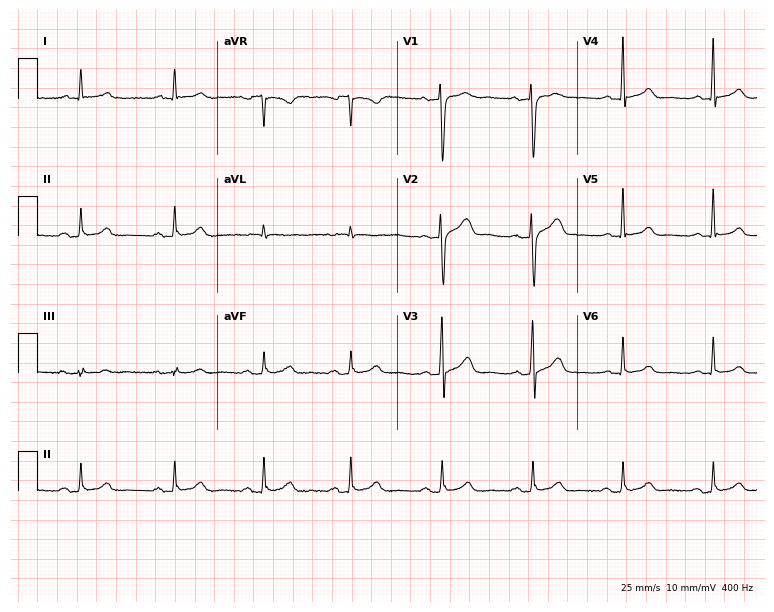
Electrocardiogram, a 62-year-old male patient. Overall reading on record: normal ECG.